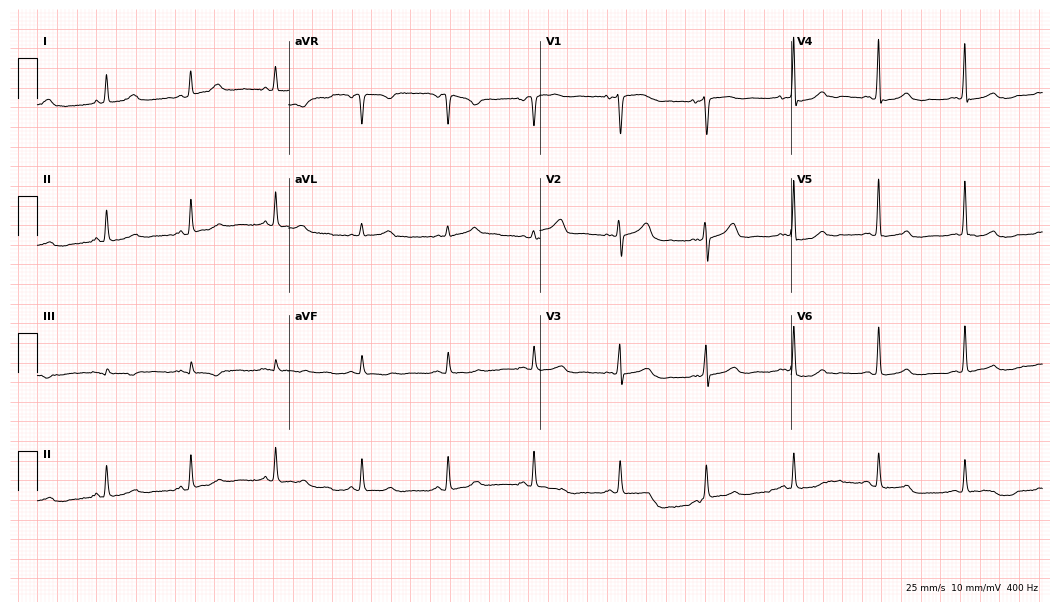
Resting 12-lead electrocardiogram (10.2-second recording at 400 Hz). Patient: a woman, 60 years old. Read as a normal ECG.